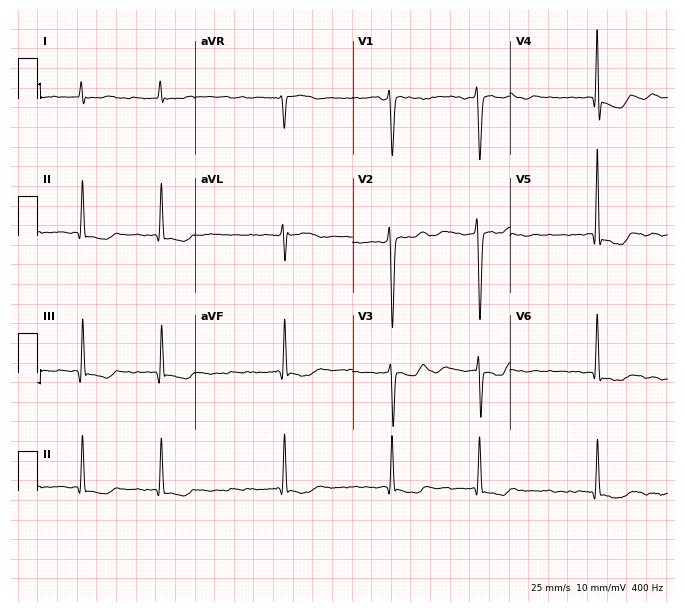
12-lead ECG from a woman, 59 years old. Shows atrial fibrillation.